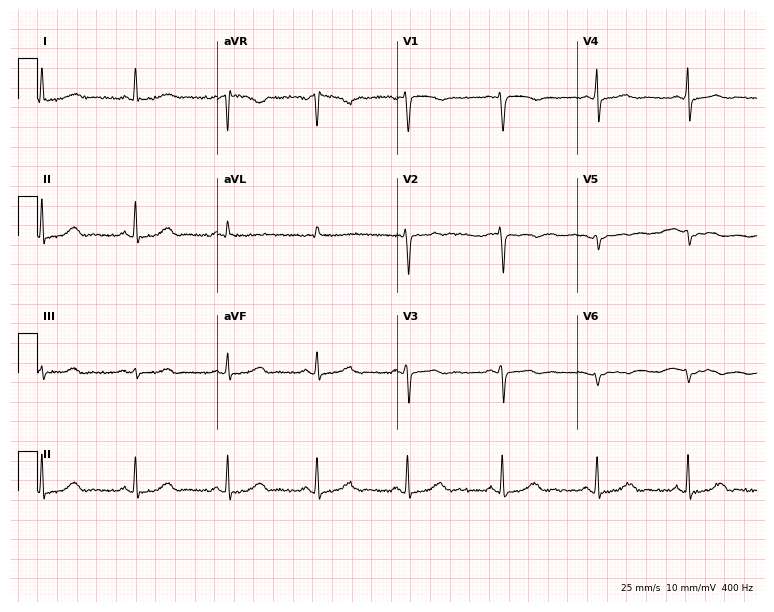
12-lead ECG from a female, 48 years old. No first-degree AV block, right bundle branch block, left bundle branch block, sinus bradycardia, atrial fibrillation or sinus tachycardia recorded for this tracing.